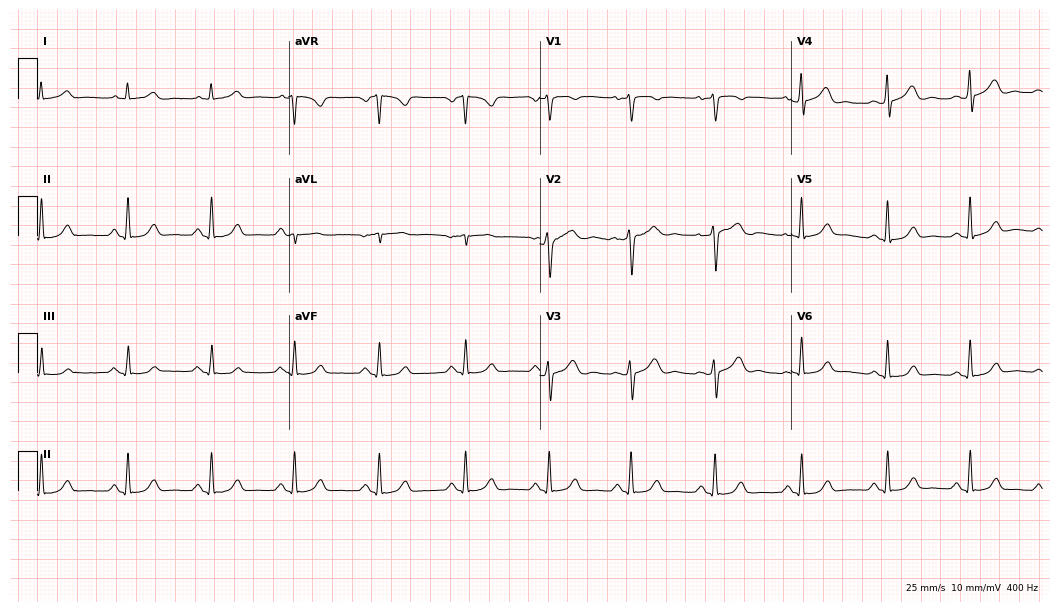
12-lead ECG from a female patient, 51 years old. Recorded interpretation: within normal limits.